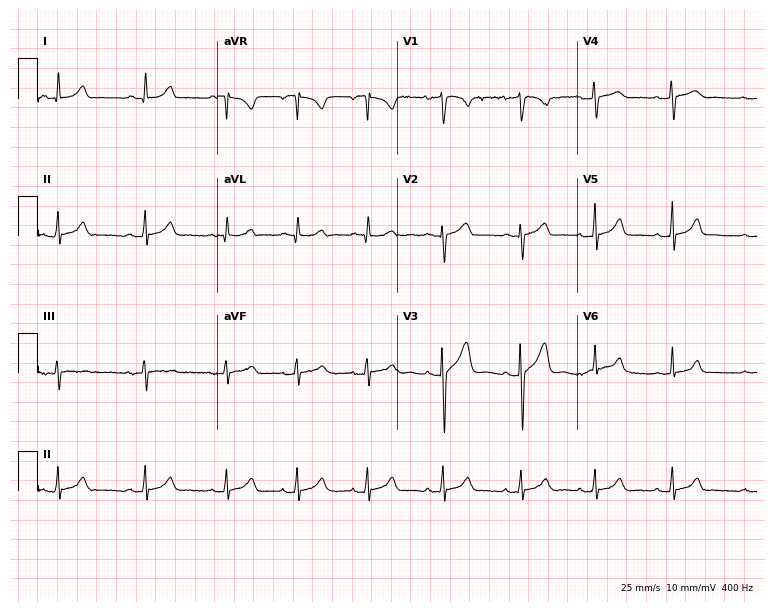
Electrocardiogram, a 19-year-old female. Overall reading on record: normal ECG.